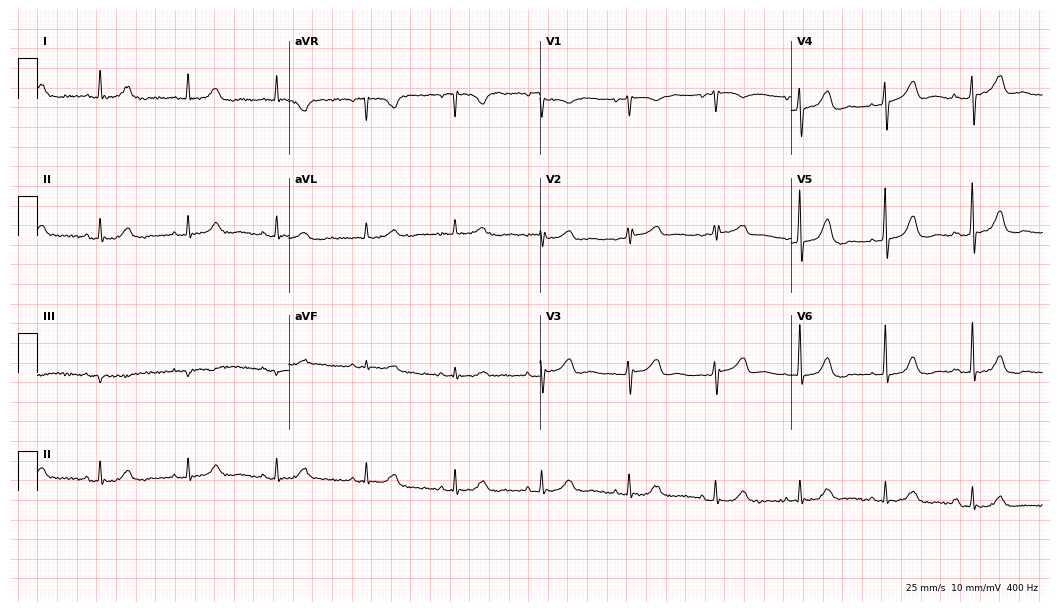
ECG — a woman, 83 years old. Screened for six findings — first-degree AV block, right bundle branch block, left bundle branch block, sinus bradycardia, atrial fibrillation, sinus tachycardia — none is recorded. Only these six findings were labelled.